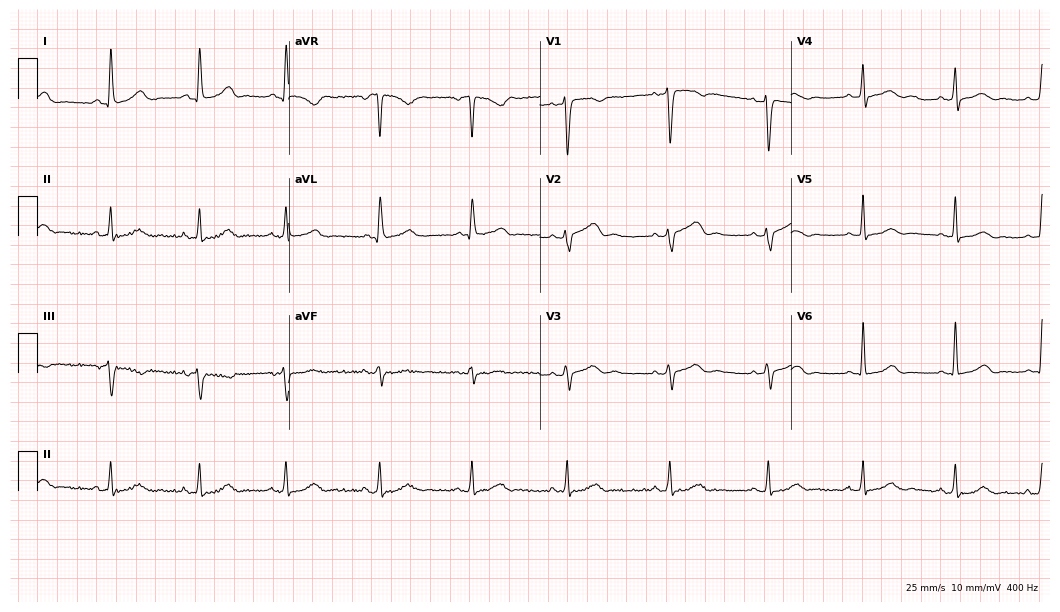
ECG (10.2-second recording at 400 Hz) — a woman, 46 years old. Screened for six findings — first-degree AV block, right bundle branch block (RBBB), left bundle branch block (LBBB), sinus bradycardia, atrial fibrillation (AF), sinus tachycardia — none is recorded. Only these six findings were labelled.